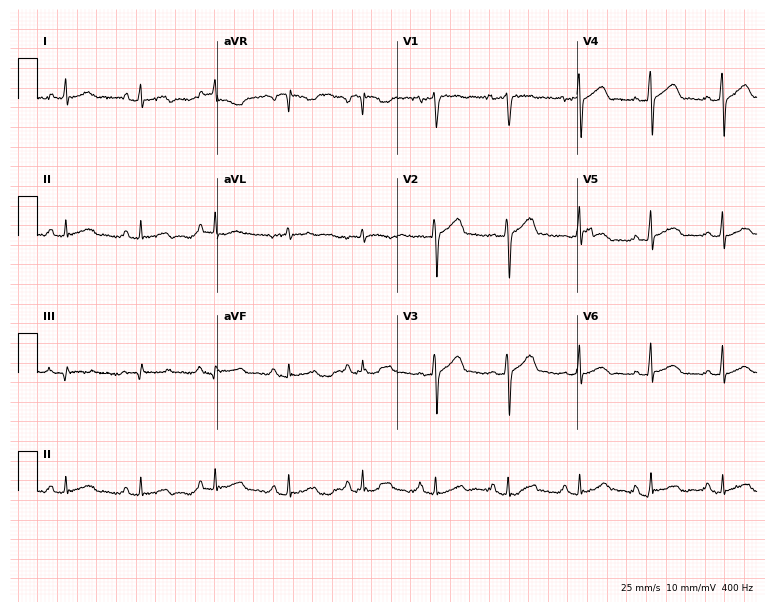
Electrocardiogram, a 39-year-old male. Overall reading on record: normal ECG.